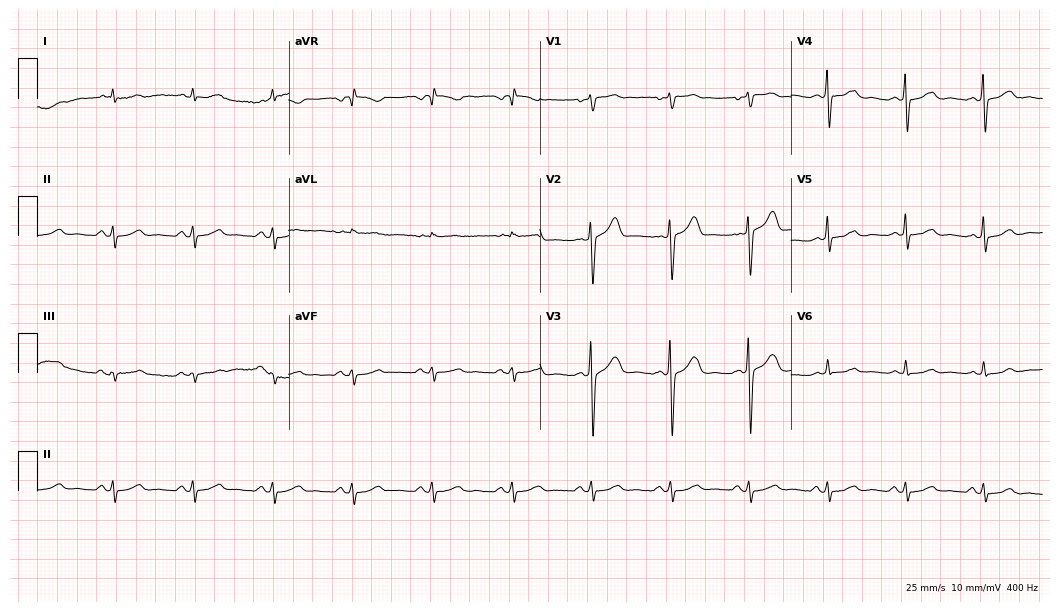
Resting 12-lead electrocardiogram (10.2-second recording at 400 Hz). Patient: a 49-year-old man. None of these six findings is recorded: first-degree AV block, right bundle branch block, left bundle branch block, sinus bradycardia, atrial fibrillation, sinus tachycardia. Only these six findings were labelled.